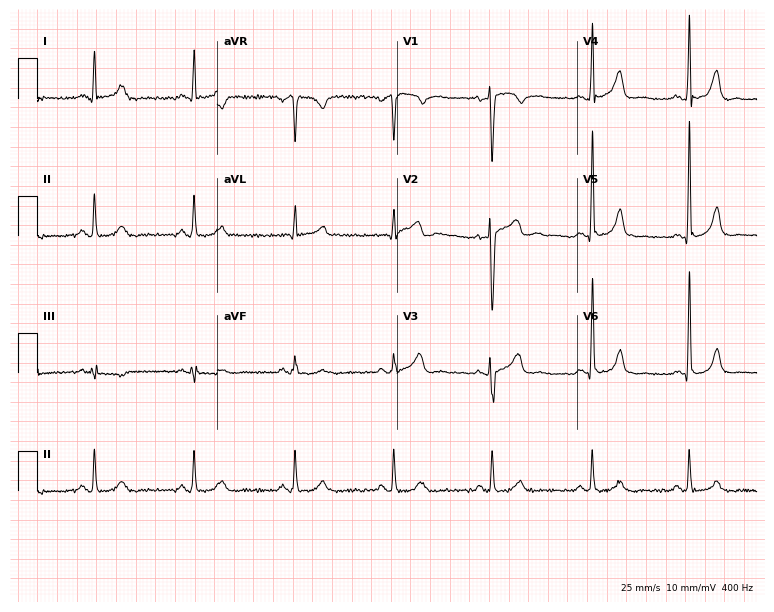
12-lead ECG (7.3-second recording at 400 Hz) from a man, 46 years old. Labelled as a normal ECG.